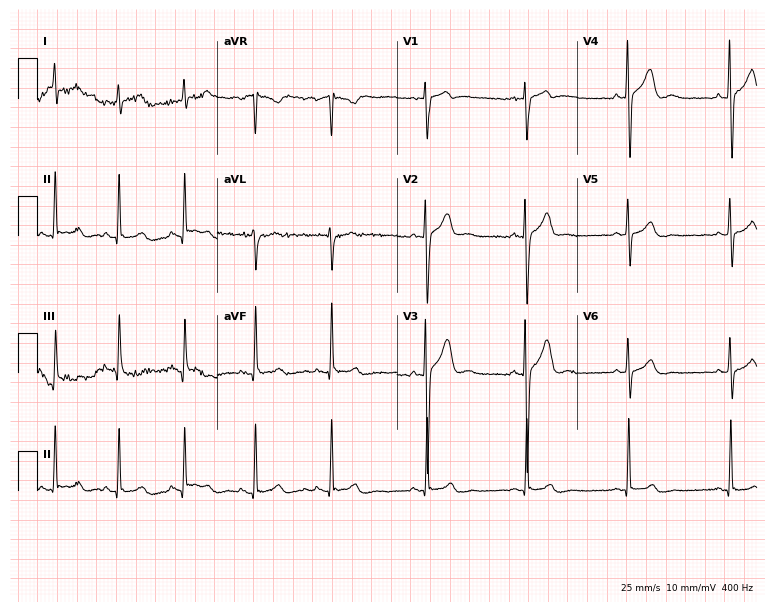
Standard 12-lead ECG recorded from a male, 21 years old (7.3-second recording at 400 Hz). None of these six findings is recorded: first-degree AV block, right bundle branch block, left bundle branch block, sinus bradycardia, atrial fibrillation, sinus tachycardia.